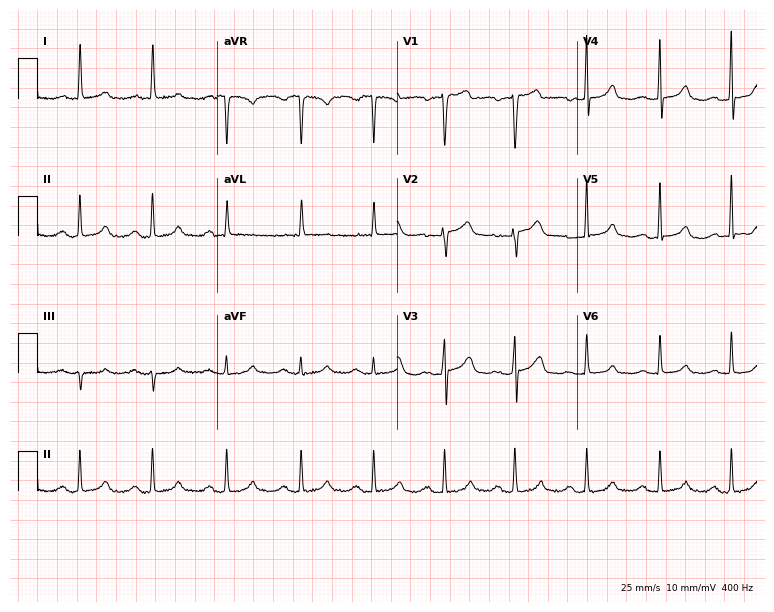
12-lead ECG from a woman, 62 years old (7.3-second recording at 400 Hz). Recorded interpretation: within normal limits.